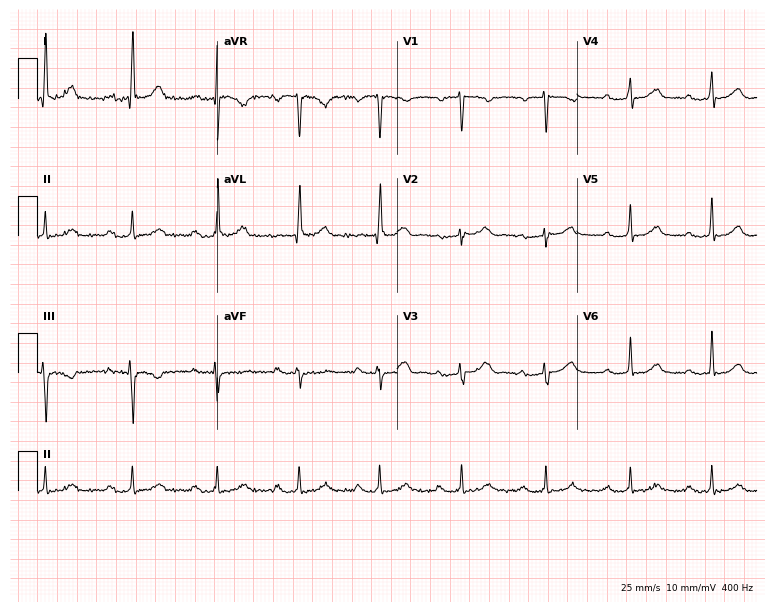
12-lead ECG from a 62-year-old female. Shows first-degree AV block.